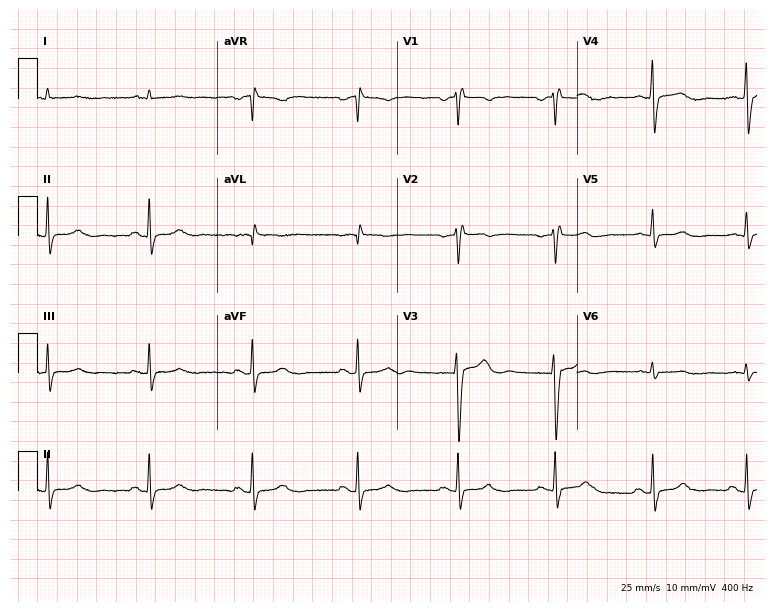
Resting 12-lead electrocardiogram (7.3-second recording at 400 Hz). Patient: a male, 43 years old. None of these six findings is recorded: first-degree AV block, right bundle branch block, left bundle branch block, sinus bradycardia, atrial fibrillation, sinus tachycardia.